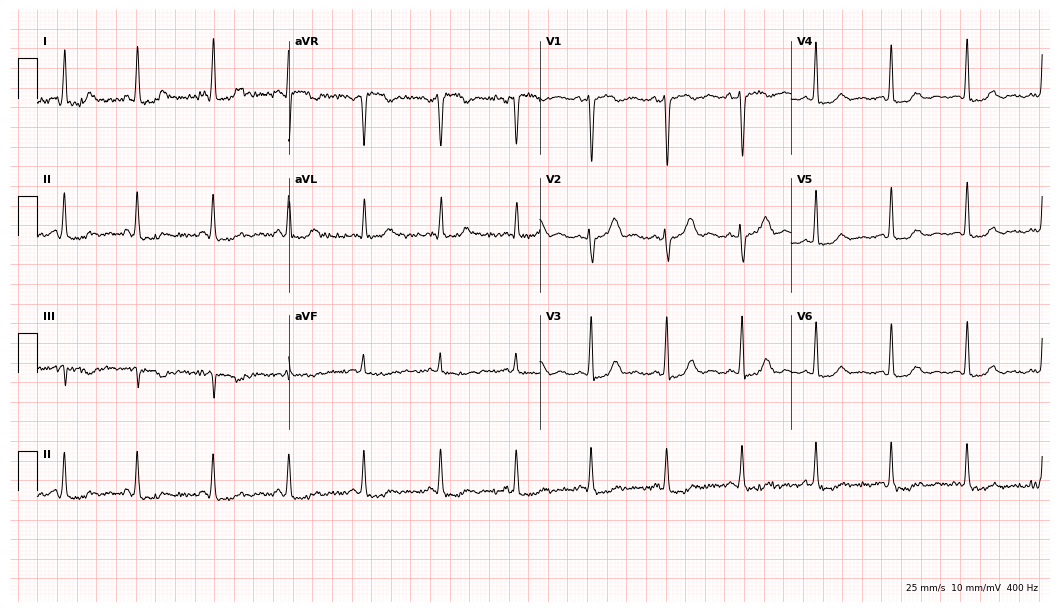
ECG (10.2-second recording at 400 Hz) — a female, 68 years old. Screened for six findings — first-degree AV block, right bundle branch block, left bundle branch block, sinus bradycardia, atrial fibrillation, sinus tachycardia — none is recorded.